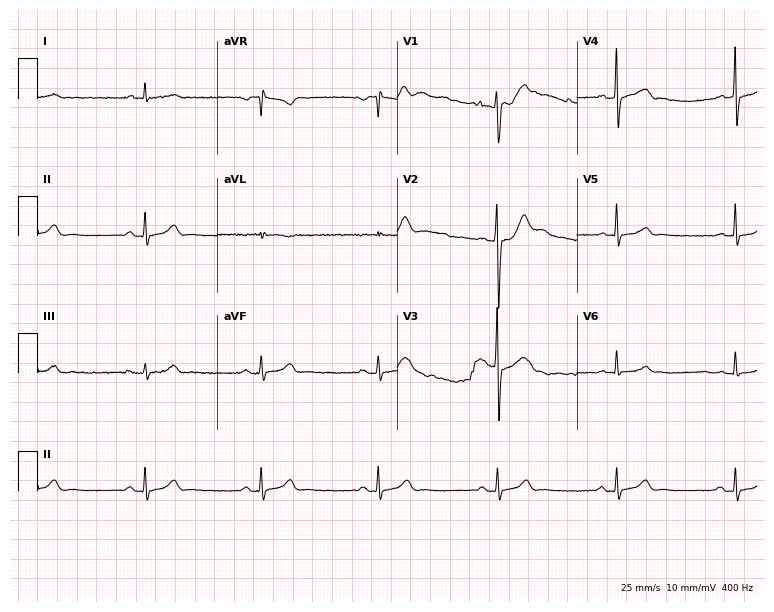
Resting 12-lead electrocardiogram. Patient: a man, 35 years old. None of these six findings is recorded: first-degree AV block, right bundle branch block, left bundle branch block, sinus bradycardia, atrial fibrillation, sinus tachycardia.